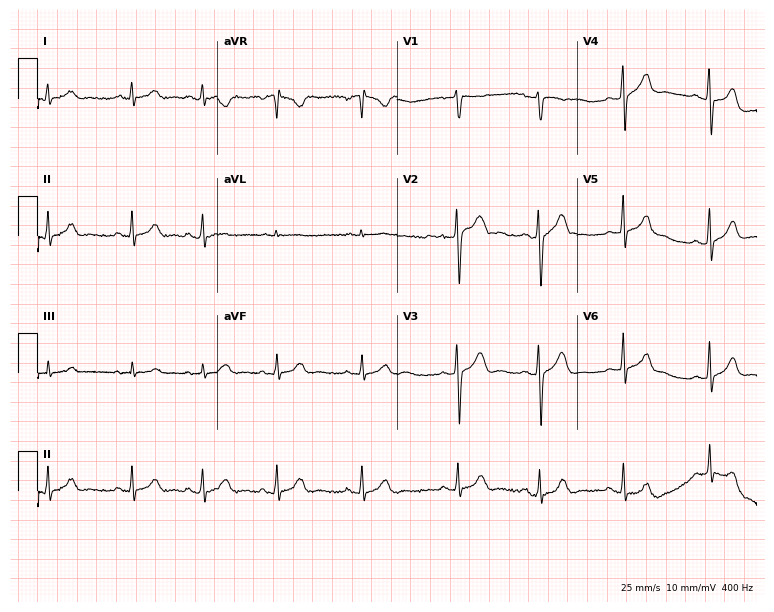
Resting 12-lead electrocardiogram (7.3-second recording at 400 Hz). Patient: a 34-year-old woman. Read as a normal ECG.